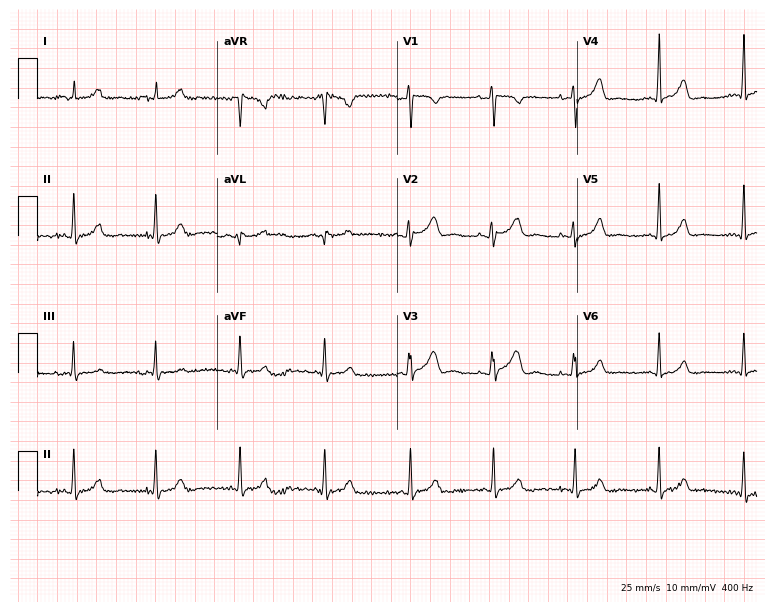
ECG — a female, 56 years old. Labelled as a normal ECG.